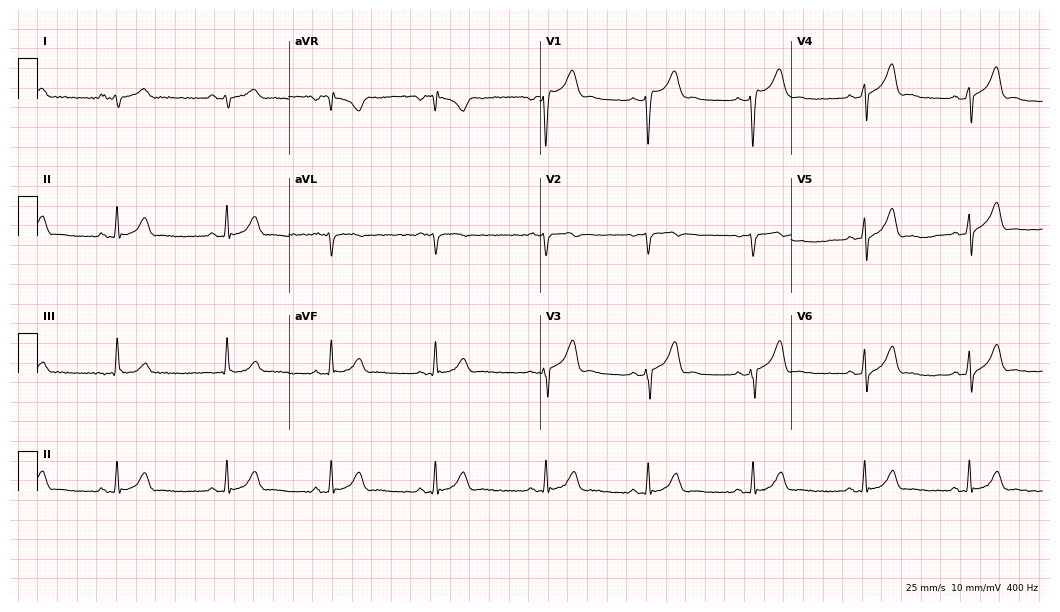
ECG — a male patient, 23 years old. Screened for six findings — first-degree AV block, right bundle branch block (RBBB), left bundle branch block (LBBB), sinus bradycardia, atrial fibrillation (AF), sinus tachycardia — none is recorded.